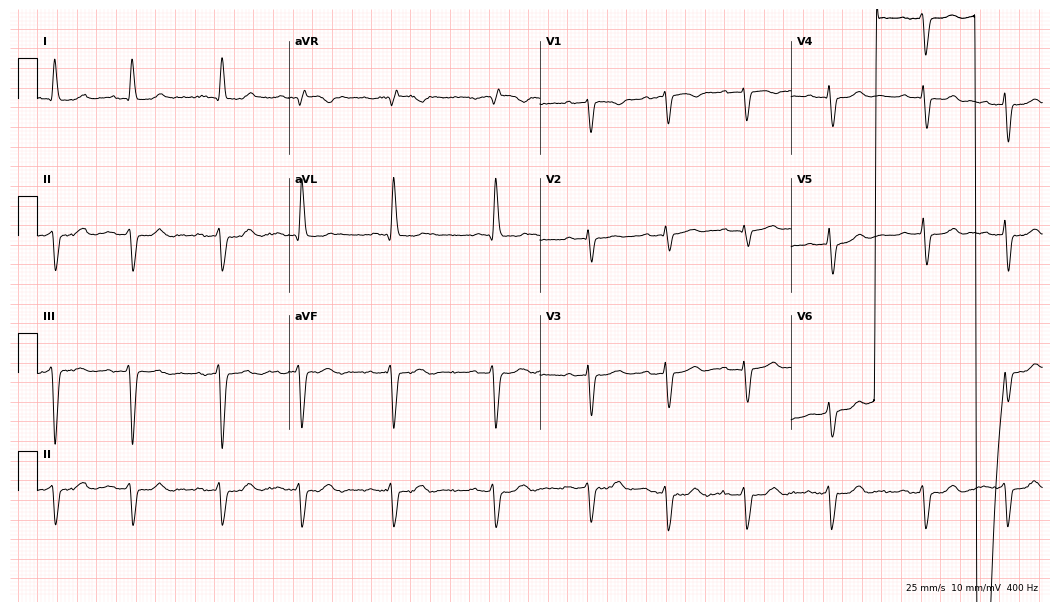
Resting 12-lead electrocardiogram (10.2-second recording at 400 Hz). Patient: a 67-year-old female. None of these six findings is recorded: first-degree AV block, right bundle branch block, left bundle branch block, sinus bradycardia, atrial fibrillation, sinus tachycardia.